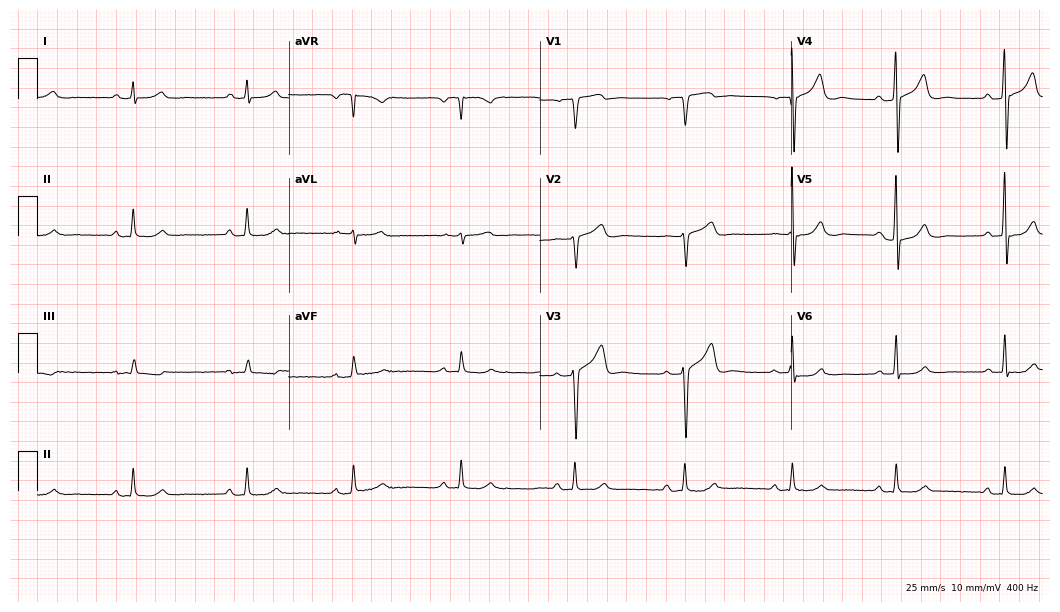
Electrocardiogram (10.2-second recording at 400 Hz), a man, 69 years old. Overall reading on record: normal ECG.